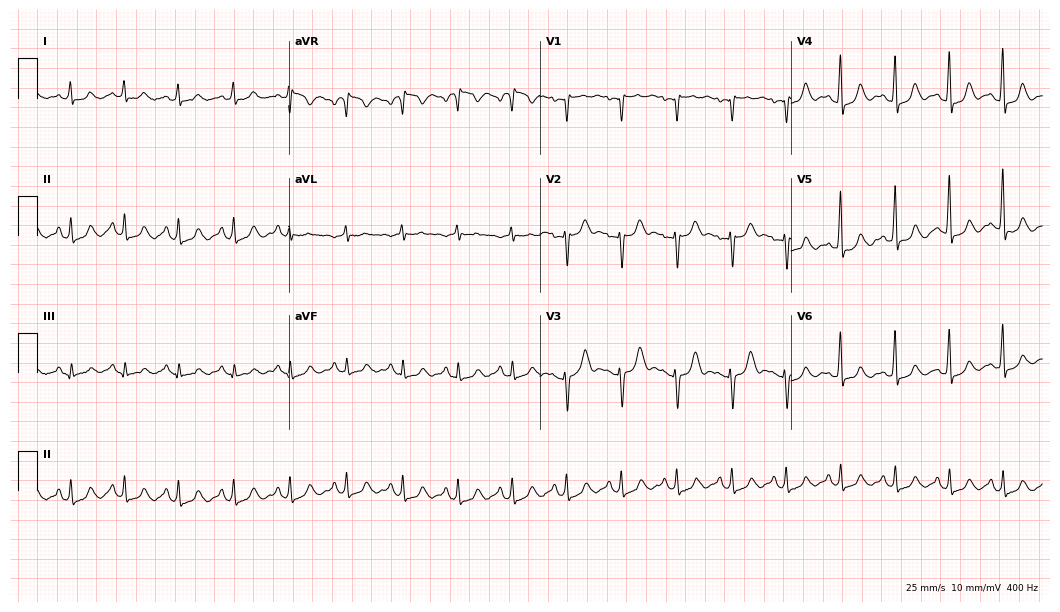
12-lead ECG from a 49-year-old female patient. Shows sinus tachycardia (a sinus rate of 100 beats per minute or more).